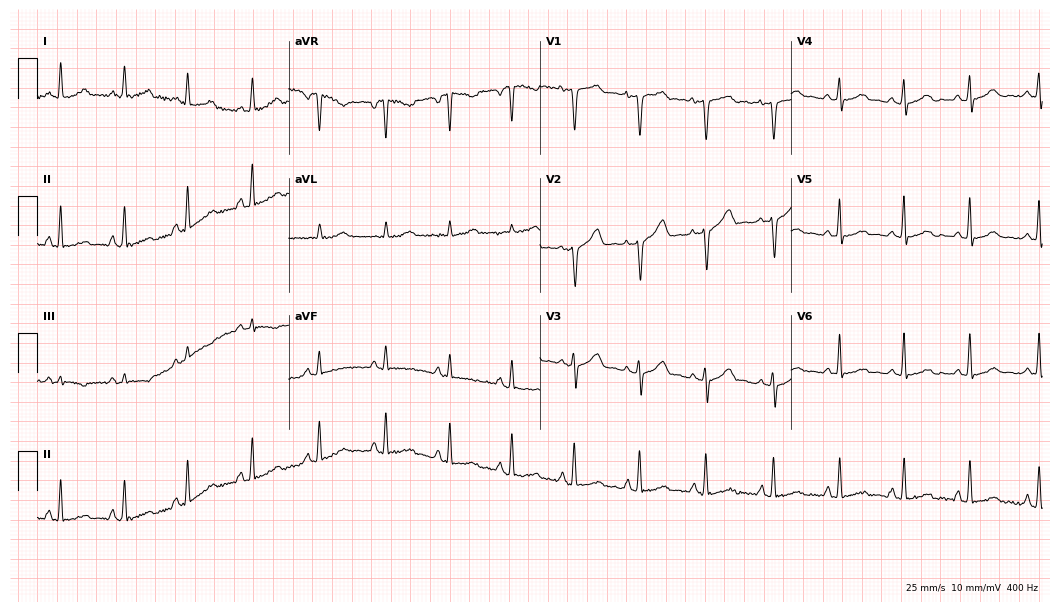
ECG — a 42-year-old female. Screened for six findings — first-degree AV block, right bundle branch block (RBBB), left bundle branch block (LBBB), sinus bradycardia, atrial fibrillation (AF), sinus tachycardia — none is recorded. Other findings, if any, are not listed.